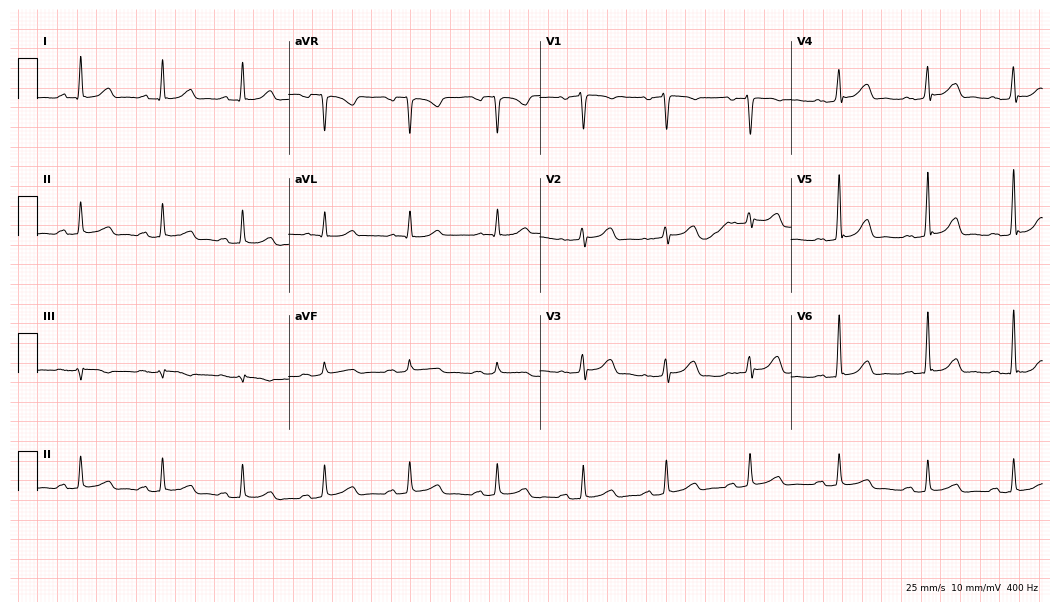
Resting 12-lead electrocardiogram. Patient: a female, 60 years old. None of these six findings is recorded: first-degree AV block, right bundle branch block, left bundle branch block, sinus bradycardia, atrial fibrillation, sinus tachycardia.